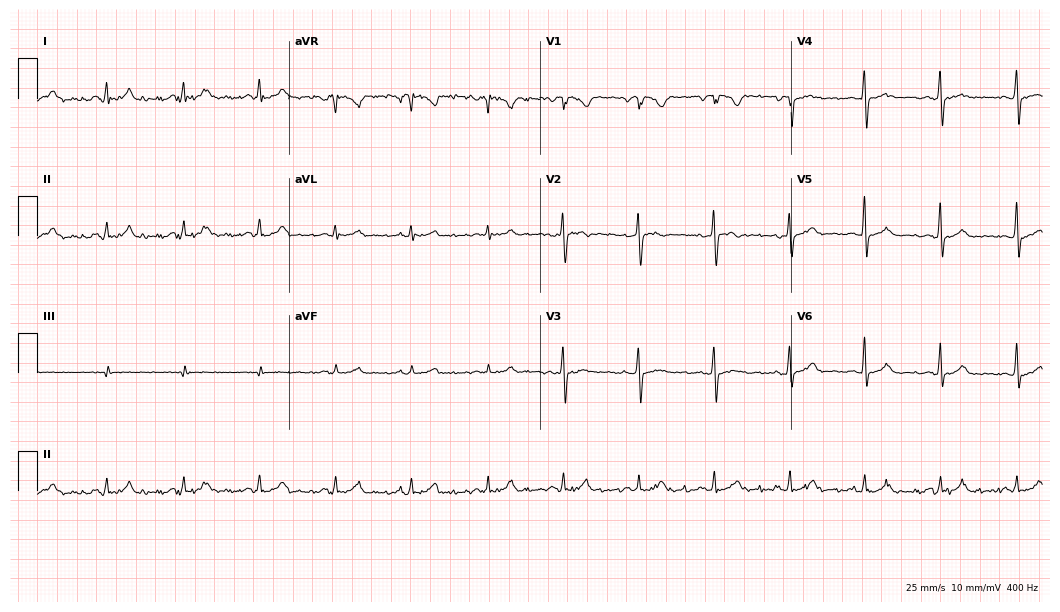
ECG — a male, 46 years old. Screened for six findings — first-degree AV block, right bundle branch block, left bundle branch block, sinus bradycardia, atrial fibrillation, sinus tachycardia — none is recorded.